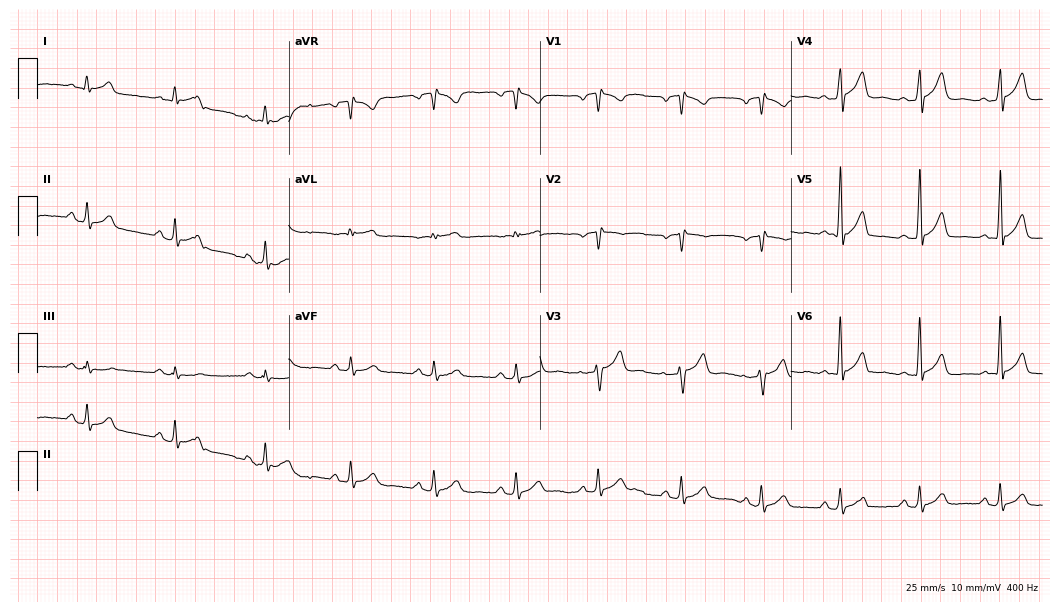
12-lead ECG from a woman, 60 years old (10.2-second recording at 400 Hz). No first-degree AV block, right bundle branch block (RBBB), left bundle branch block (LBBB), sinus bradycardia, atrial fibrillation (AF) or sinus tachycardia recorded for this tracing.